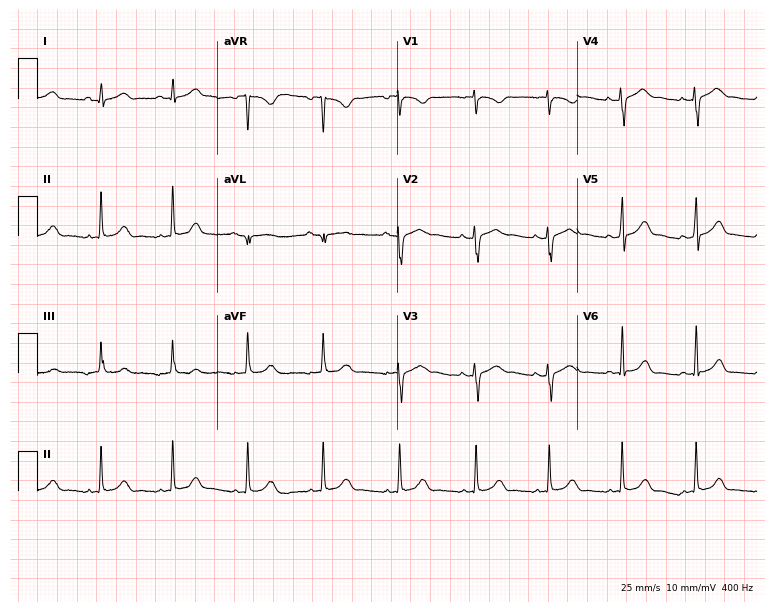
Resting 12-lead electrocardiogram (7.3-second recording at 400 Hz). Patient: a 24-year-old woman. Read as a normal ECG.